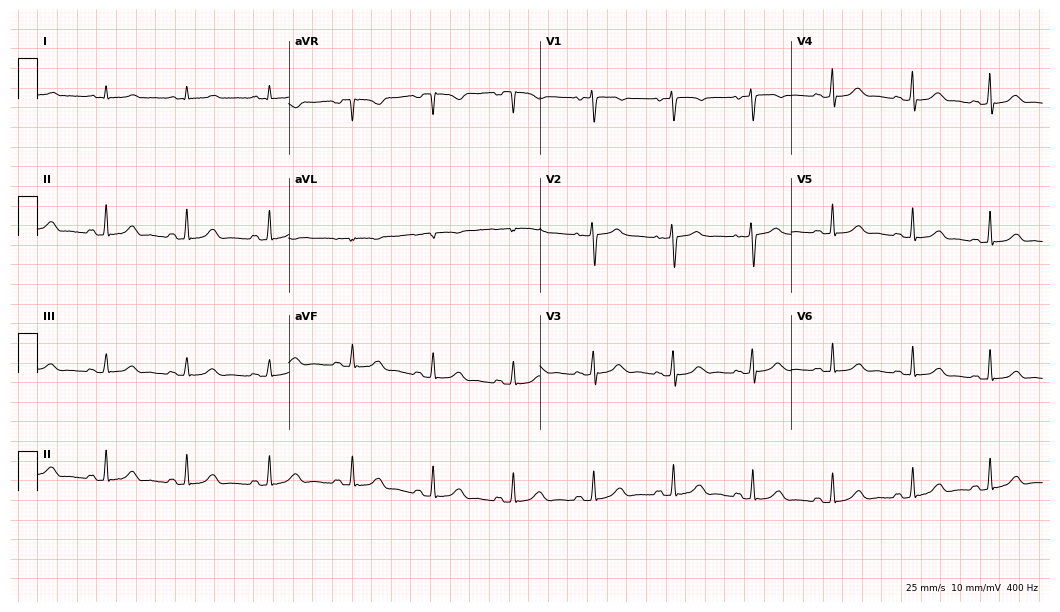
Standard 12-lead ECG recorded from a 49-year-old female patient. Read as a normal ECG.